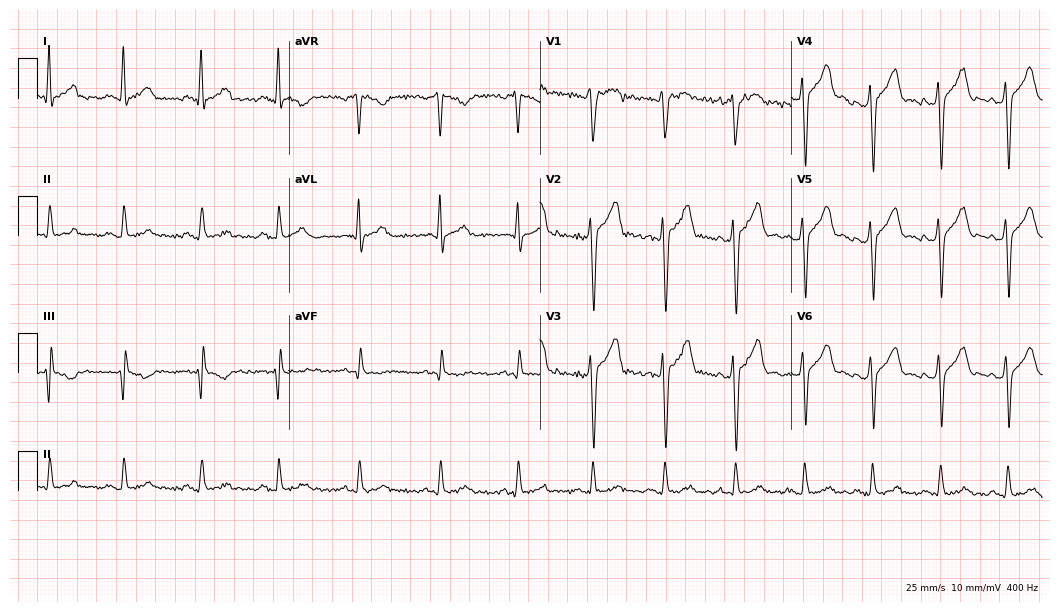
12-lead ECG from a male patient, 31 years old. No first-degree AV block, right bundle branch block, left bundle branch block, sinus bradycardia, atrial fibrillation or sinus tachycardia recorded for this tracing. Only these six findings were labelled.